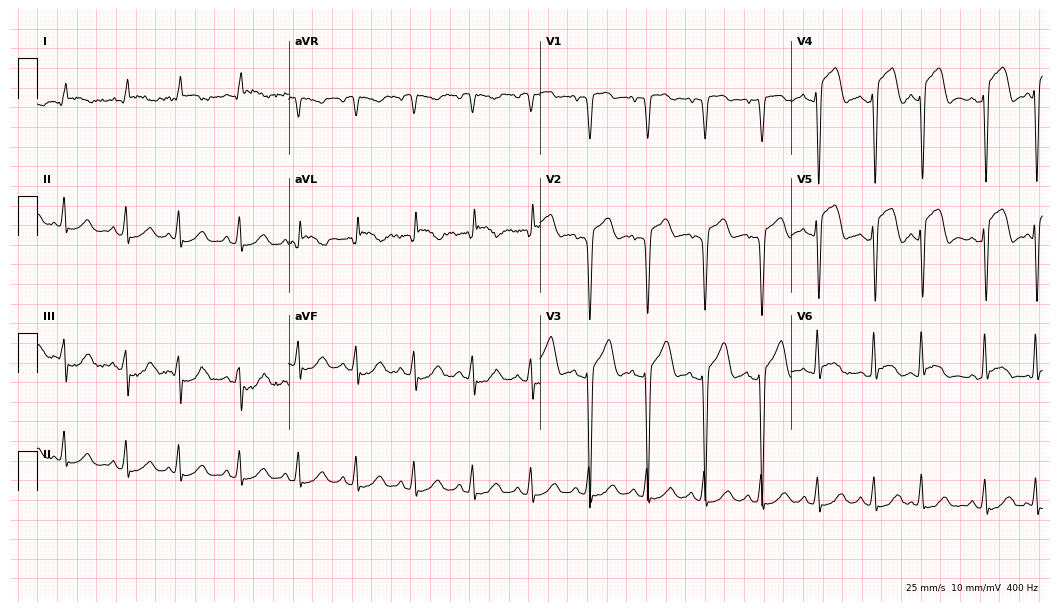
Resting 12-lead electrocardiogram (10.2-second recording at 400 Hz). Patient: a man, 63 years old. None of these six findings is recorded: first-degree AV block, right bundle branch block, left bundle branch block, sinus bradycardia, atrial fibrillation, sinus tachycardia. Only these six findings were labelled.